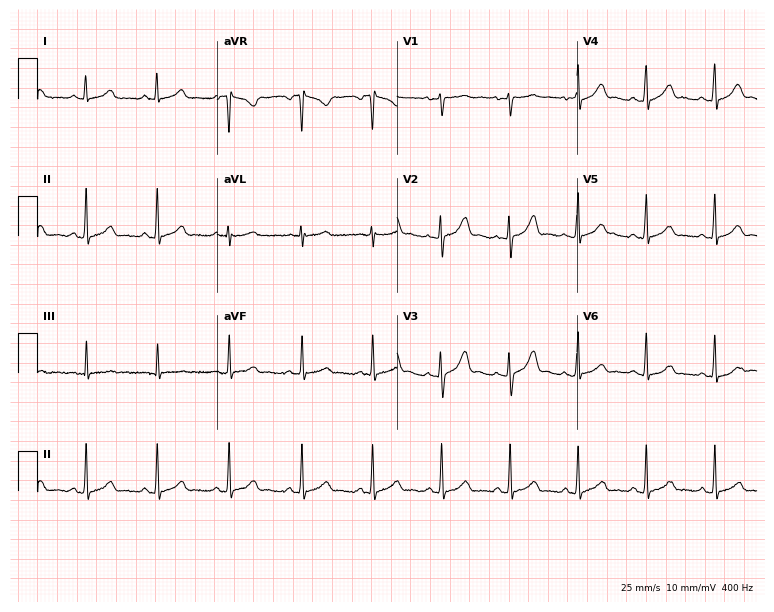
Resting 12-lead electrocardiogram (7.3-second recording at 400 Hz). Patient: a 23-year-old woman. Read as a normal ECG.